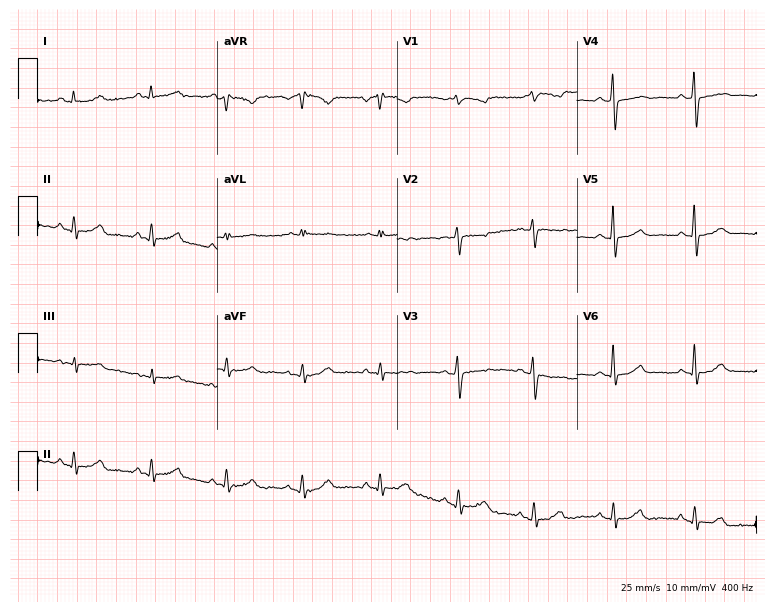
Resting 12-lead electrocardiogram. Patient: a 57-year-old woman. None of these six findings is recorded: first-degree AV block, right bundle branch block, left bundle branch block, sinus bradycardia, atrial fibrillation, sinus tachycardia. Findings outside these six are not listed.